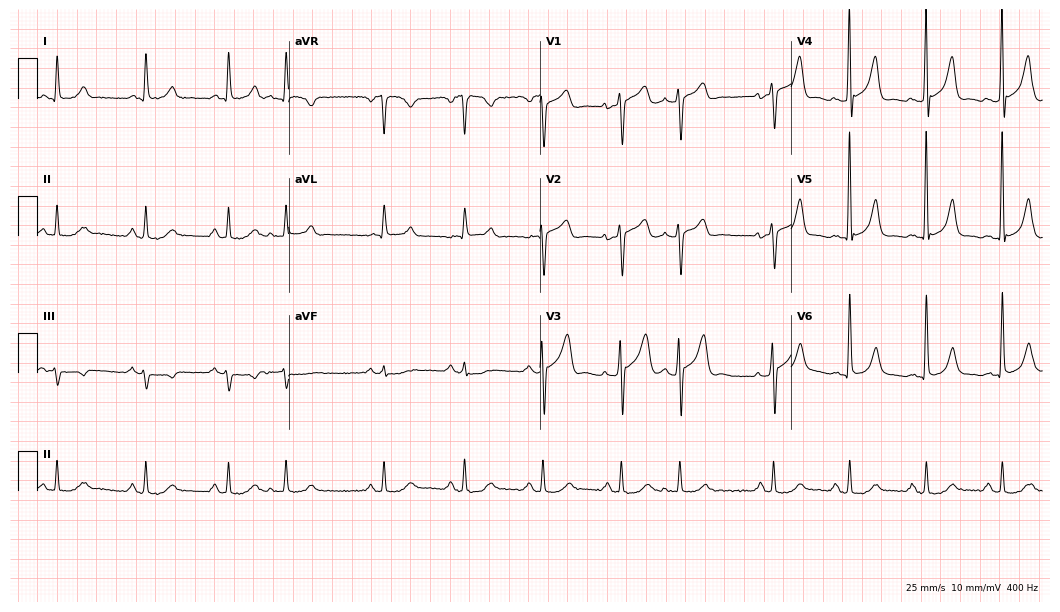
Resting 12-lead electrocardiogram (10.2-second recording at 400 Hz). Patient: a male, 71 years old. None of these six findings is recorded: first-degree AV block, right bundle branch block, left bundle branch block, sinus bradycardia, atrial fibrillation, sinus tachycardia. Other findings, if any, are not listed.